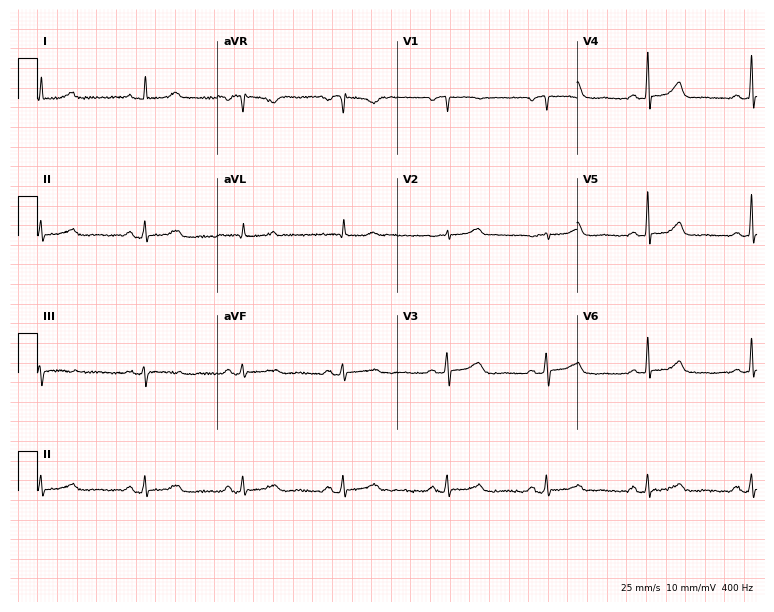
Resting 12-lead electrocardiogram (7.3-second recording at 400 Hz). Patient: a female, 81 years old. Read as a normal ECG.